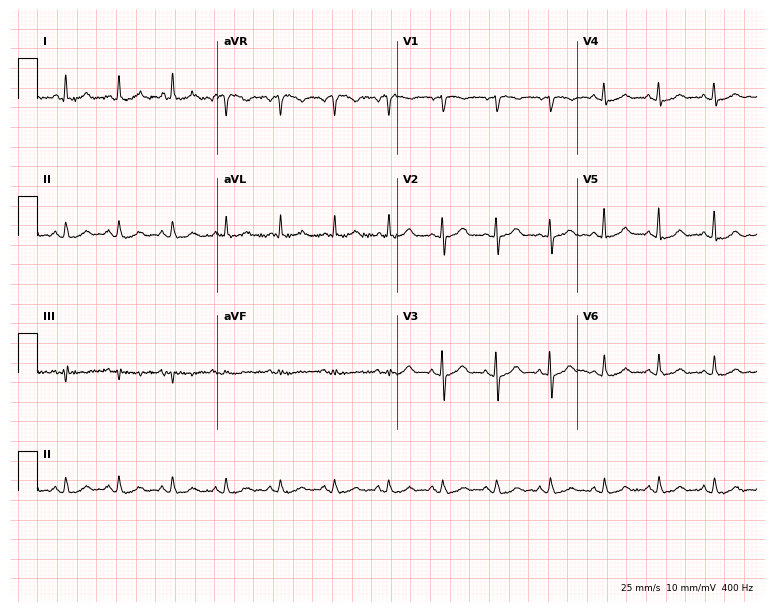
12-lead ECG from a woman, 65 years old. Shows sinus tachycardia (a sinus rate of 100 beats per minute or more).